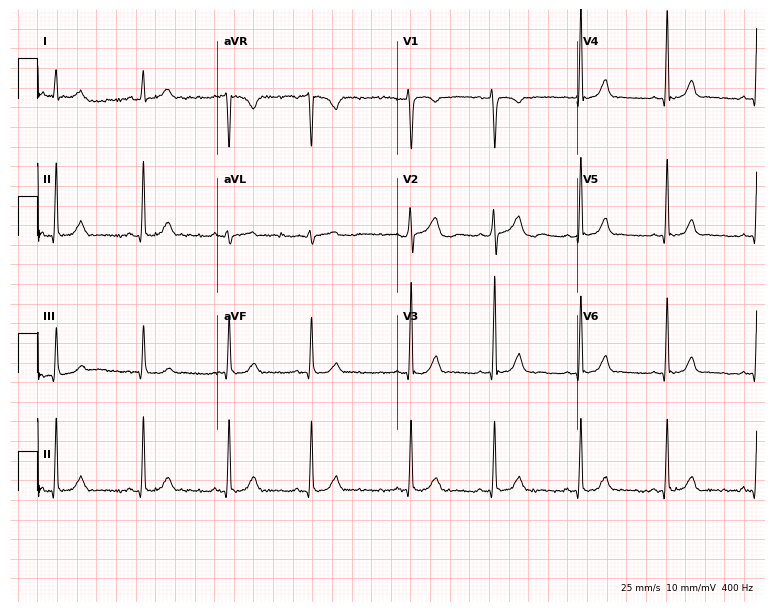
12-lead ECG (7.3-second recording at 400 Hz) from a 29-year-old woman. Screened for six findings — first-degree AV block, right bundle branch block, left bundle branch block, sinus bradycardia, atrial fibrillation, sinus tachycardia — none is recorded.